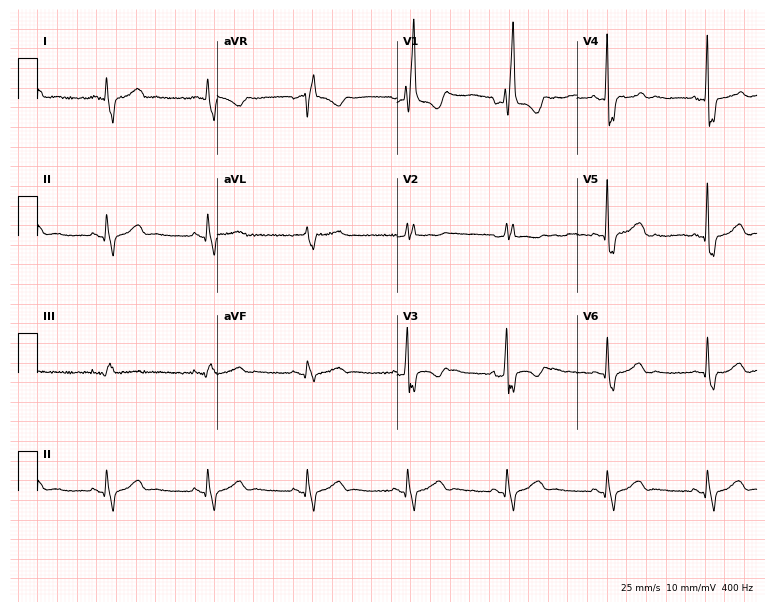
Standard 12-lead ECG recorded from a male, 71 years old. None of these six findings is recorded: first-degree AV block, right bundle branch block, left bundle branch block, sinus bradycardia, atrial fibrillation, sinus tachycardia. Findings outside these six are not listed.